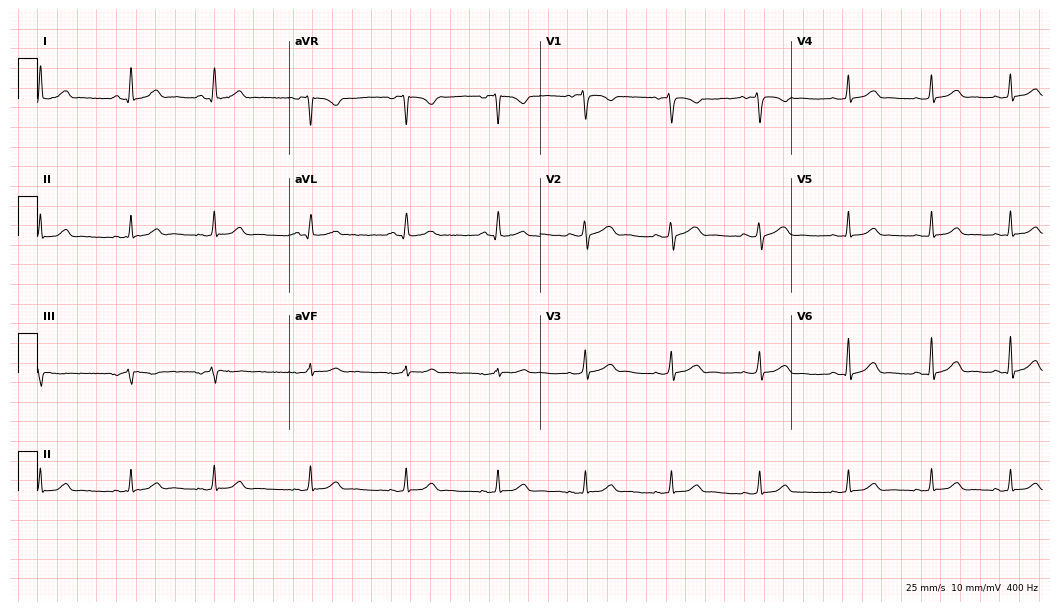
Standard 12-lead ECG recorded from a 33-year-old female patient. Read as a normal ECG.